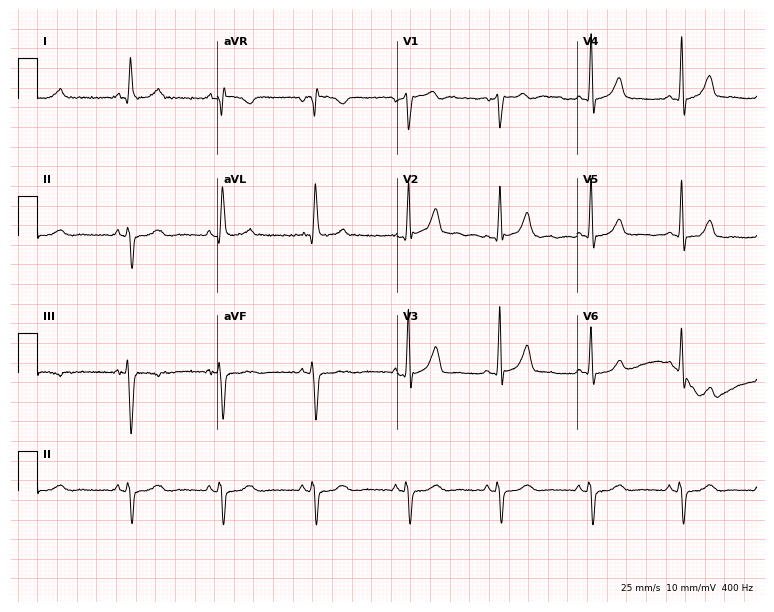
ECG (7.3-second recording at 400 Hz) — a male patient, 58 years old. Screened for six findings — first-degree AV block, right bundle branch block (RBBB), left bundle branch block (LBBB), sinus bradycardia, atrial fibrillation (AF), sinus tachycardia — none is recorded.